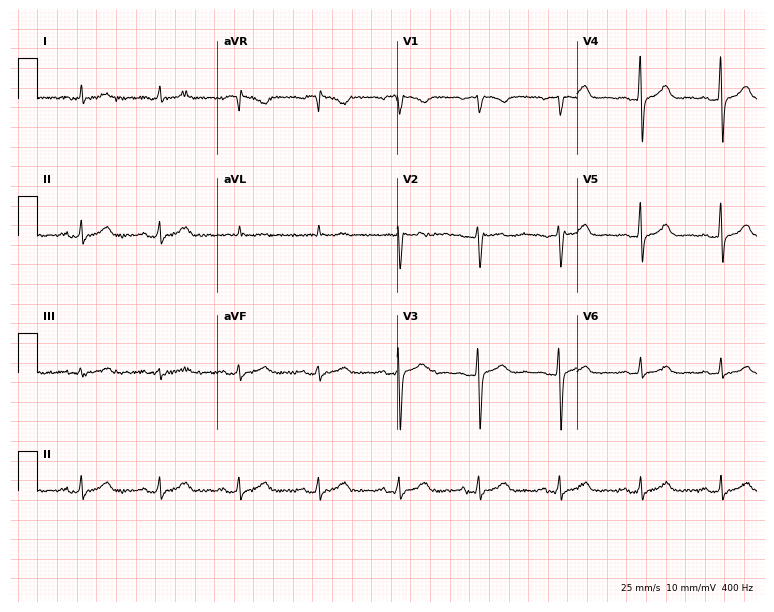
Resting 12-lead electrocardiogram. Patient: a woman, 59 years old. None of these six findings is recorded: first-degree AV block, right bundle branch block, left bundle branch block, sinus bradycardia, atrial fibrillation, sinus tachycardia. Only these six findings were labelled.